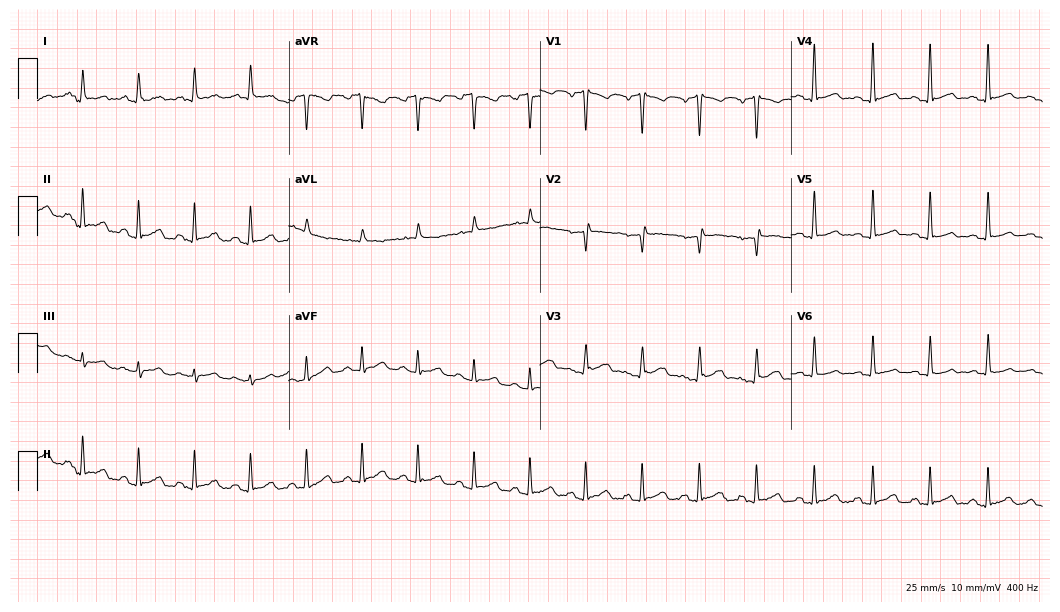
12-lead ECG from a male, 57 years old. No first-degree AV block, right bundle branch block, left bundle branch block, sinus bradycardia, atrial fibrillation or sinus tachycardia recorded for this tracing. Only these six findings were labelled.